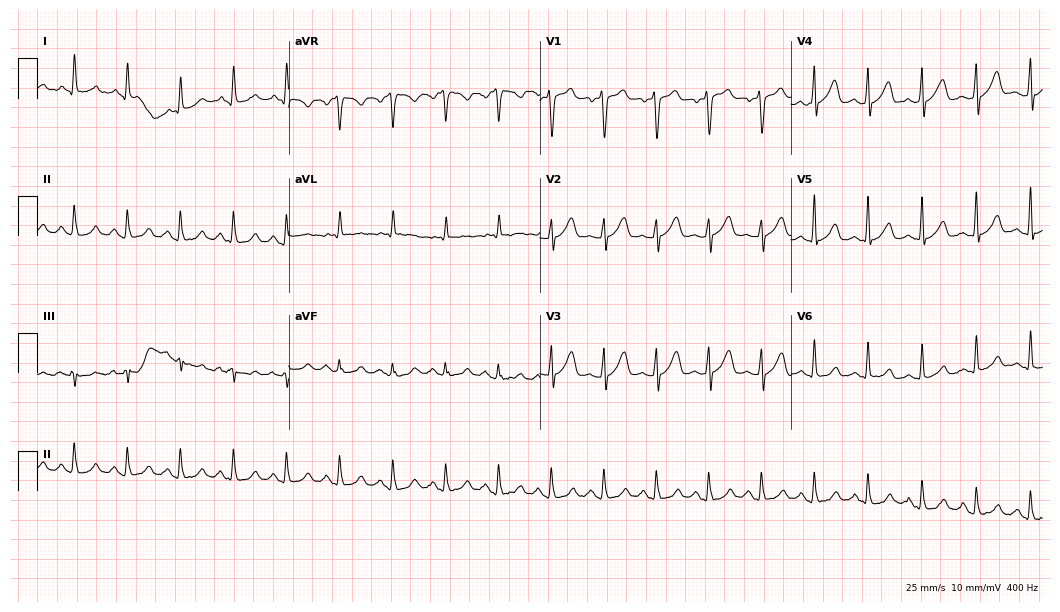
ECG — a 50-year-old man. Screened for six findings — first-degree AV block, right bundle branch block (RBBB), left bundle branch block (LBBB), sinus bradycardia, atrial fibrillation (AF), sinus tachycardia — none is recorded. Only these six findings were labelled.